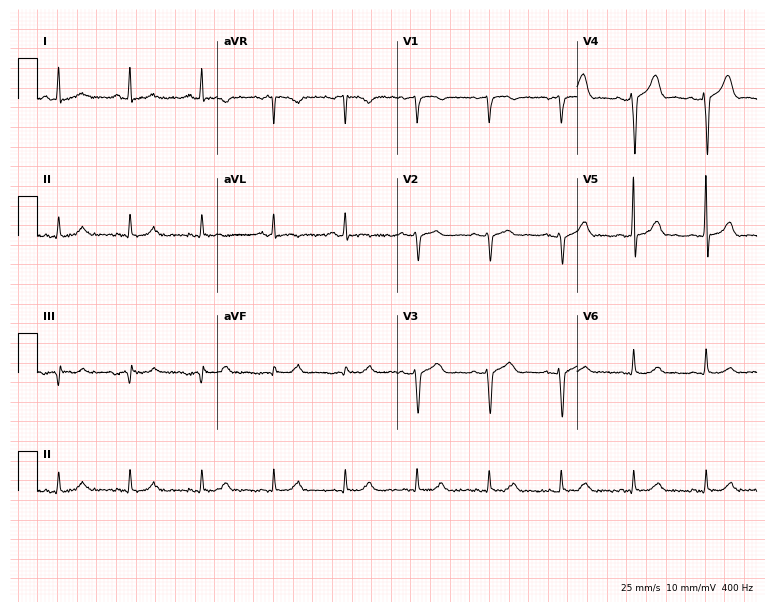
Standard 12-lead ECG recorded from a man, 78 years old. Read as a normal ECG.